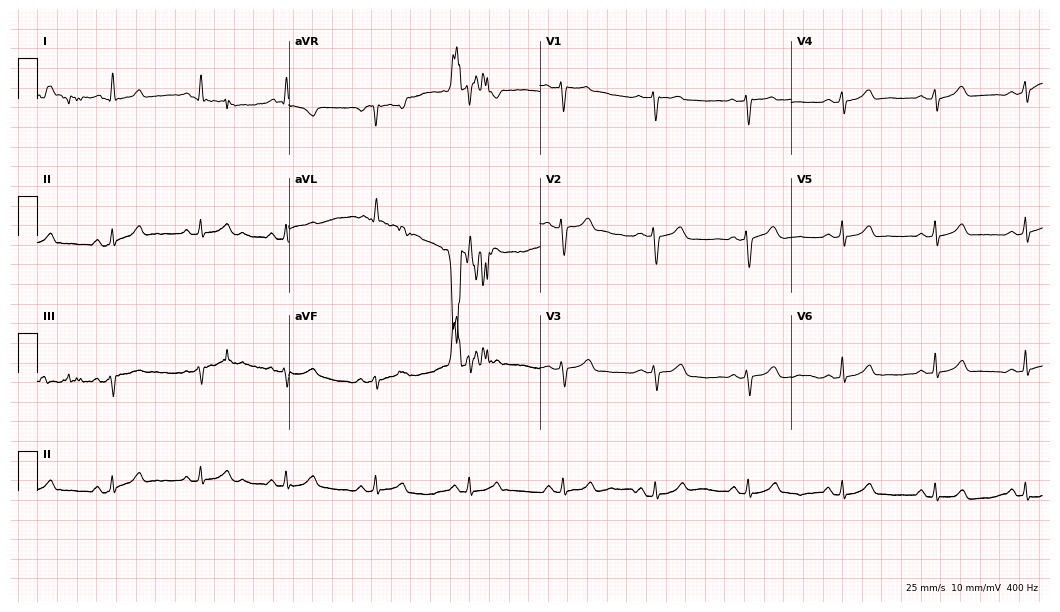
Standard 12-lead ECG recorded from a 41-year-old woman (10.2-second recording at 400 Hz). Read as a normal ECG.